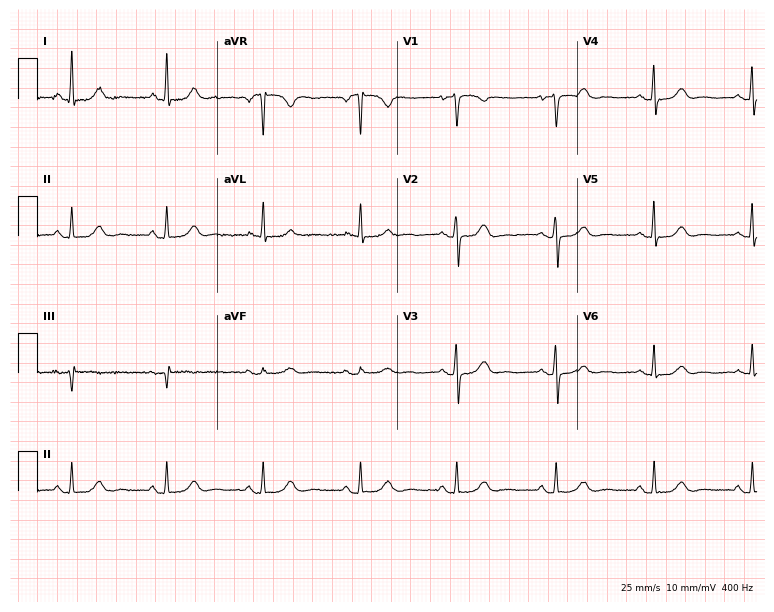
Resting 12-lead electrocardiogram. Patient: a man, 56 years old. Read as a normal ECG.